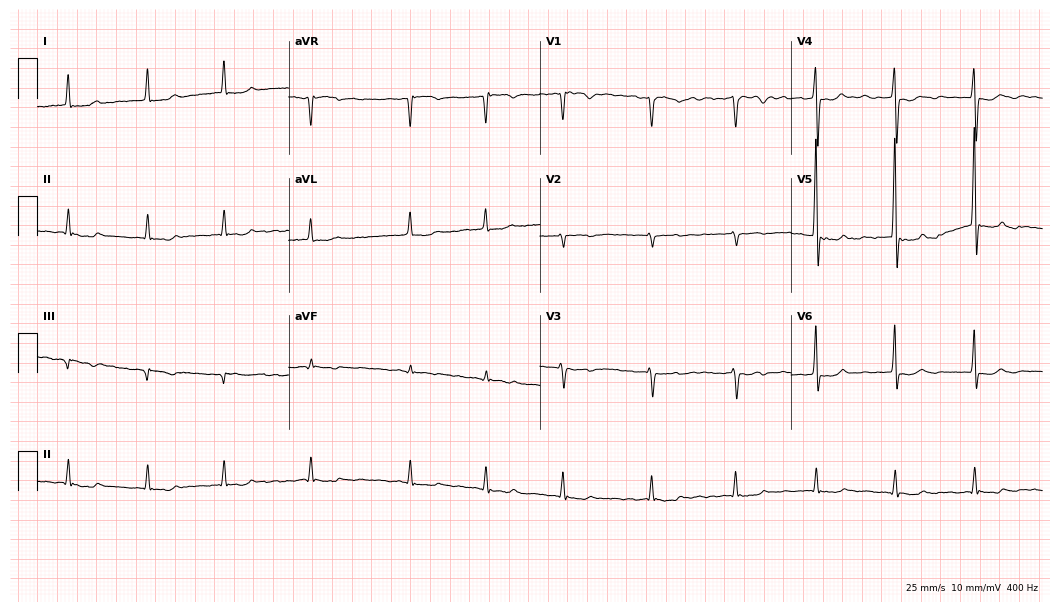
Electrocardiogram, an 85-year-old male patient. Interpretation includes atrial fibrillation.